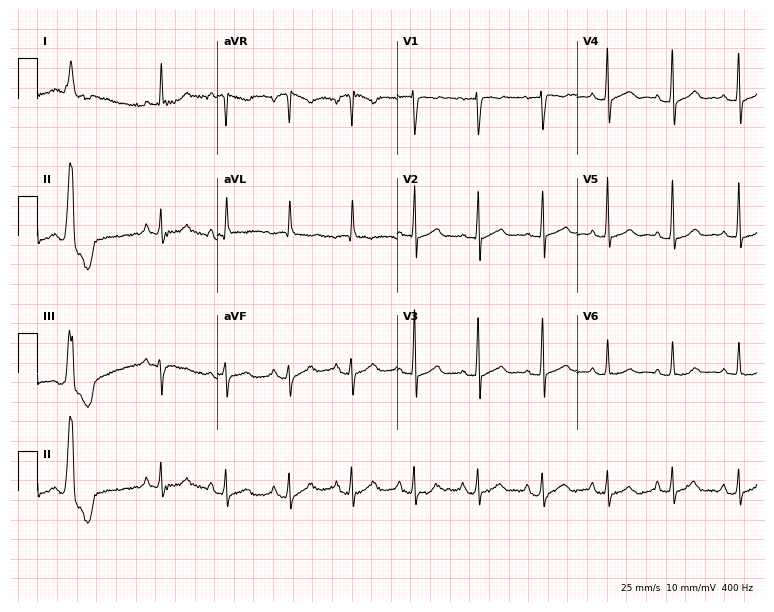
Electrocardiogram (7.3-second recording at 400 Hz), a female, 66 years old. Of the six screened findings (first-degree AV block, right bundle branch block, left bundle branch block, sinus bradycardia, atrial fibrillation, sinus tachycardia), none is recorded.